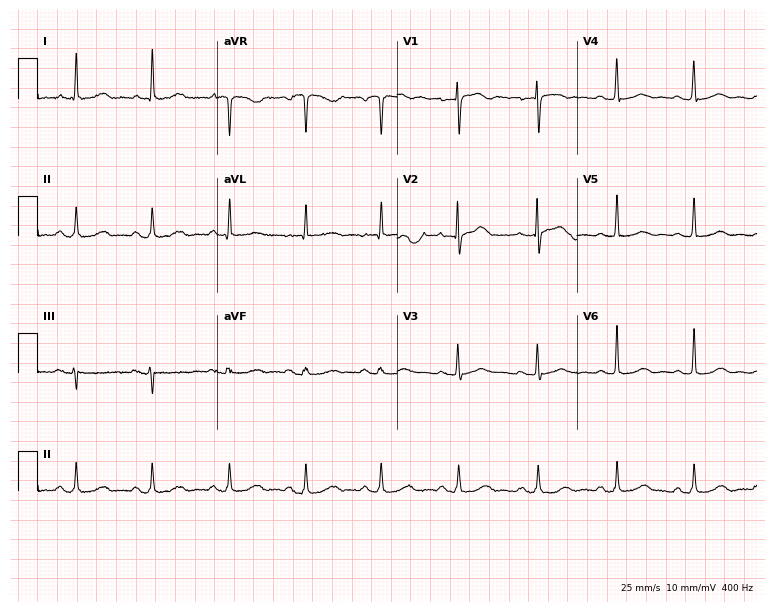
12-lead ECG from a 65-year-old female. Screened for six findings — first-degree AV block, right bundle branch block, left bundle branch block, sinus bradycardia, atrial fibrillation, sinus tachycardia — none is recorded.